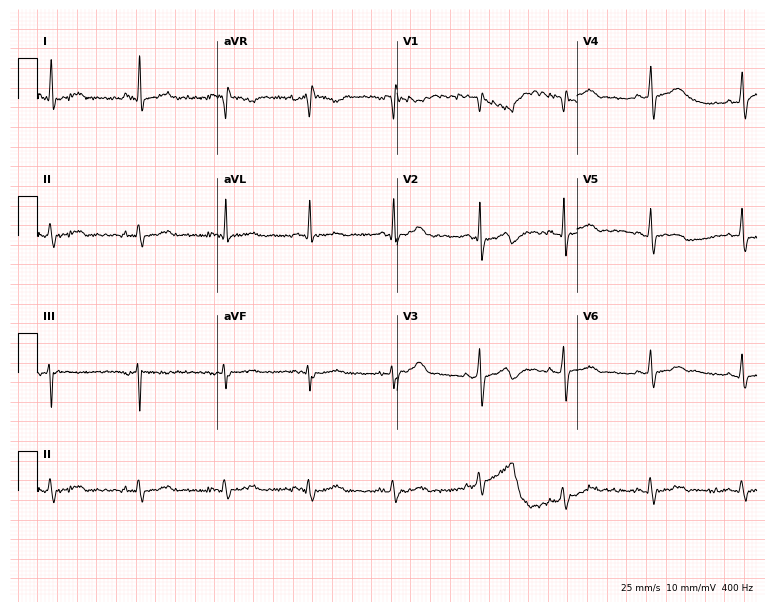
ECG (7.3-second recording at 400 Hz) — a male, 73 years old. Labelled as a normal ECG.